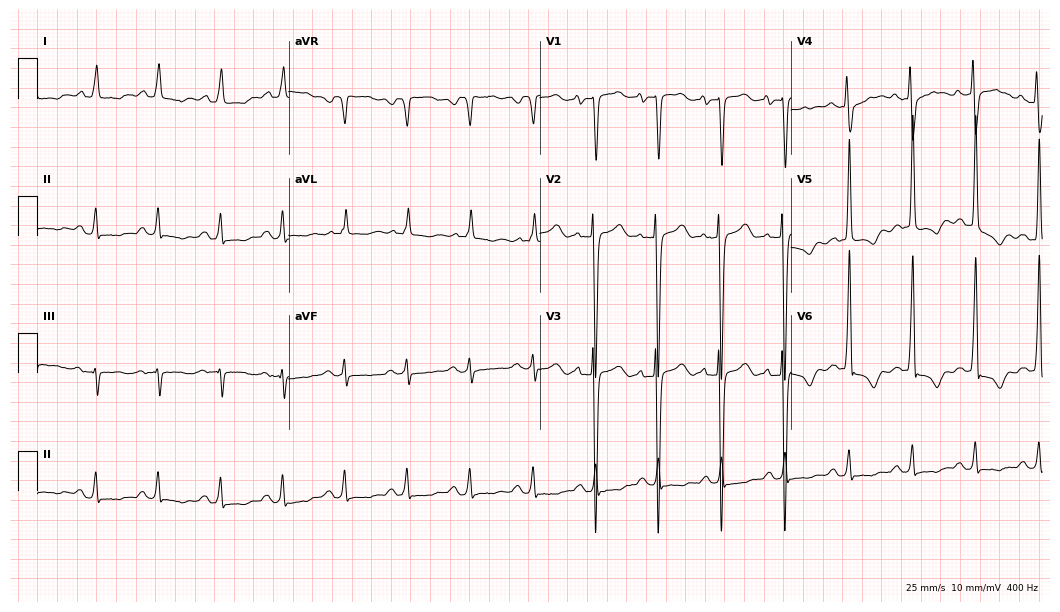
Standard 12-lead ECG recorded from a male, 66 years old (10.2-second recording at 400 Hz). None of these six findings is recorded: first-degree AV block, right bundle branch block, left bundle branch block, sinus bradycardia, atrial fibrillation, sinus tachycardia.